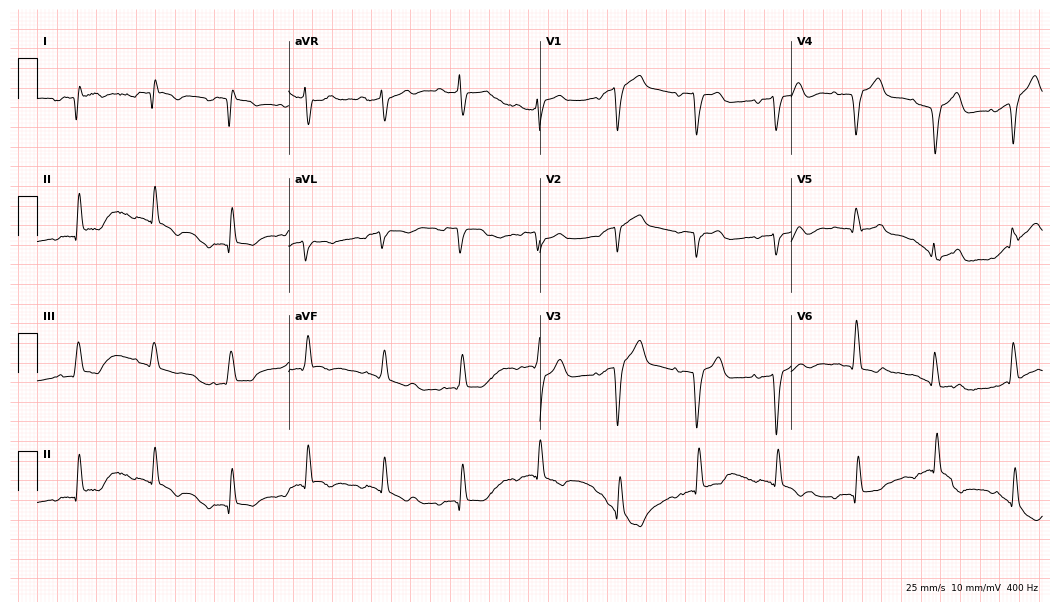
Electrocardiogram (10.2-second recording at 400 Hz), a male patient, 80 years old. Of the six screened findings (first-degree AV block, right bundle branch block (RBBB), left bundle branch block (LBBB), sinus bradycardia, atrial fibrillation (AF), sinus tachycardia), none is recorded.